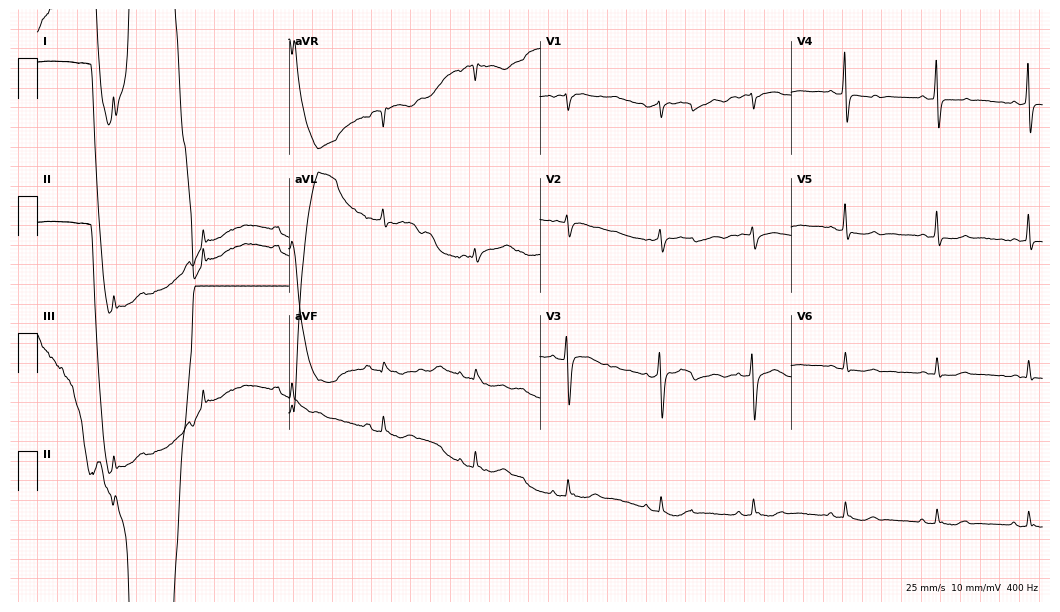
ECG — a male patient, 79 years old. Screened for six findings — first-degree AV block, right bundle branch block, left bundle branch block, sinus bradycardia, atrial fibrillation, sinus tachycardia — none is recorded. Other findings, if any, are not listed.